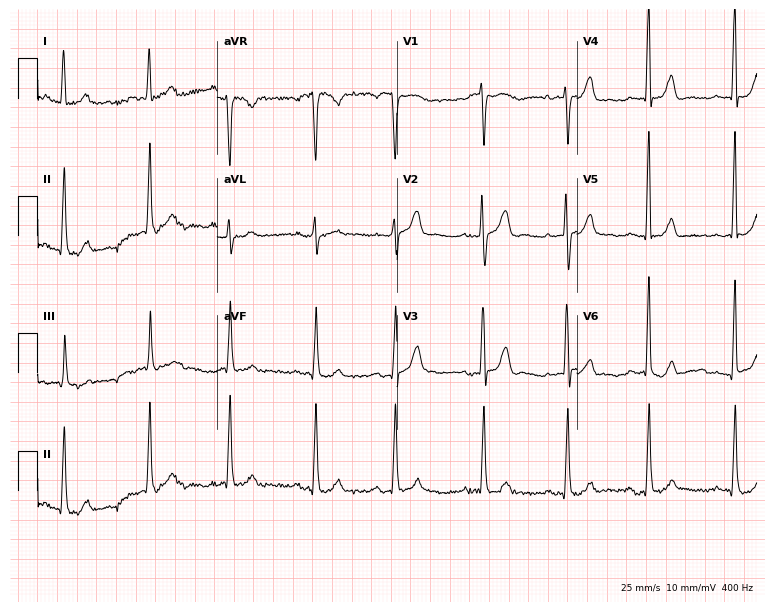
ECG — a 20-year-old female patient. Screened for six findings — first-degree AV block, right bundle branch block, left bundle branch block, sinus bradycardia, atrial fibrillation, sinus tachycardia — none is recorded.